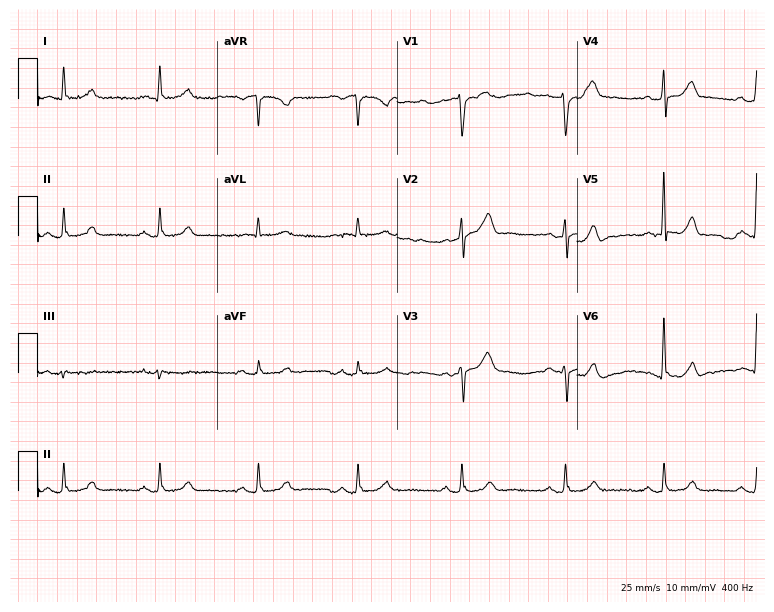
ECG — a male patient, 62 years old. Labelled as a normal ECG.